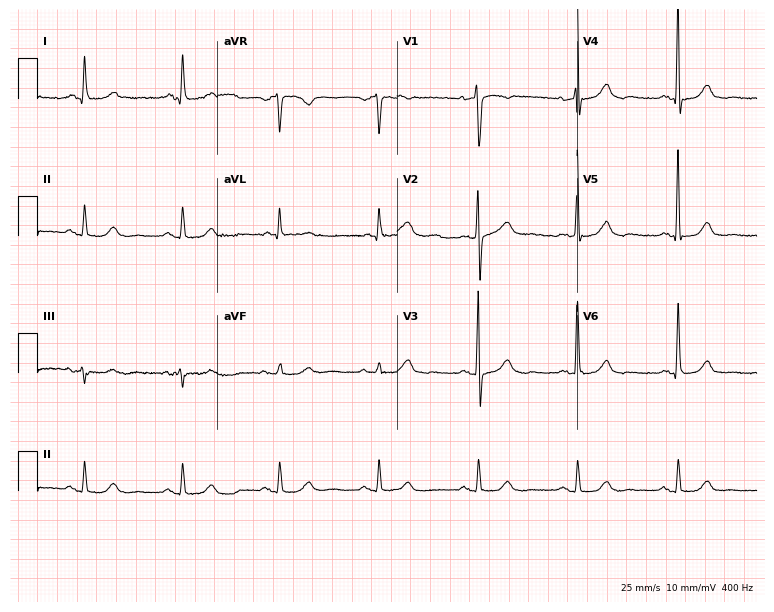
Electrocardiogram (7.3-second recording at 400 Hz), a female, 65 years old. Overall reading on record: normal ECG.